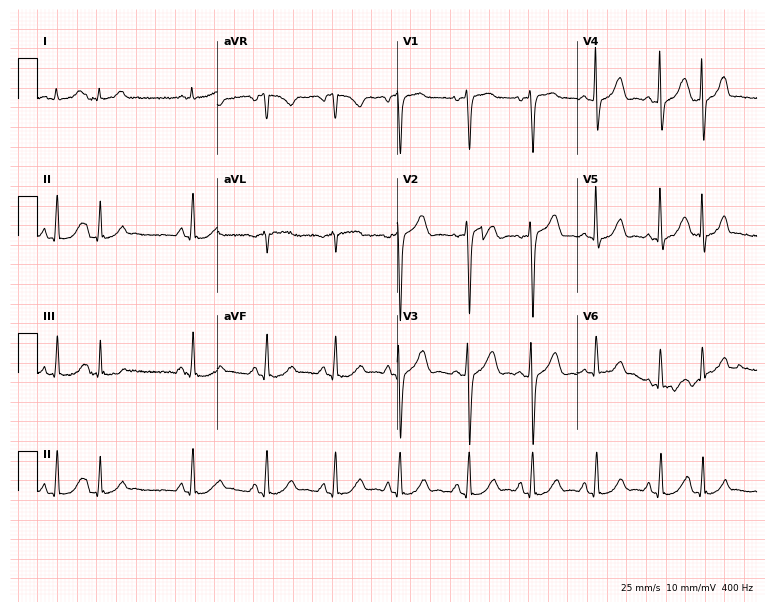
Electrocardiogram (7.3-second recording at 400 Hz), a woman, 52 years old. Of the six screened findings (first-degree AV block, right bundle branch block (RBBB), left bundle branch block (LBBB), sinus bradycardia, atrial fibrillation (AF), sinus tachycardia), none is recorded. Only these six findings were labelled.